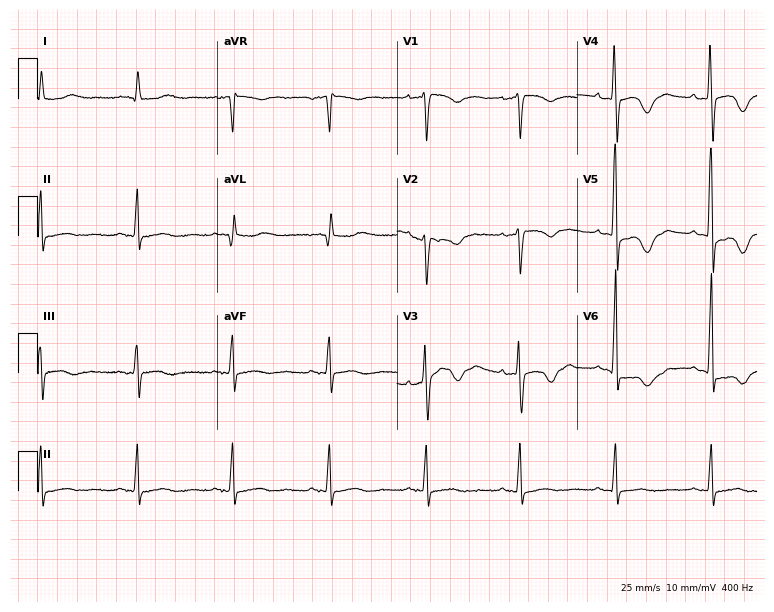
Resting 12-lead electrocardiogram. Patient: a 71-year-old female. None of these six findings is recorded: first-degree AV block, right bundle branch block, left bundle branch block, sinus bradycardia, atrial fibrillation, sinus tachycardia.